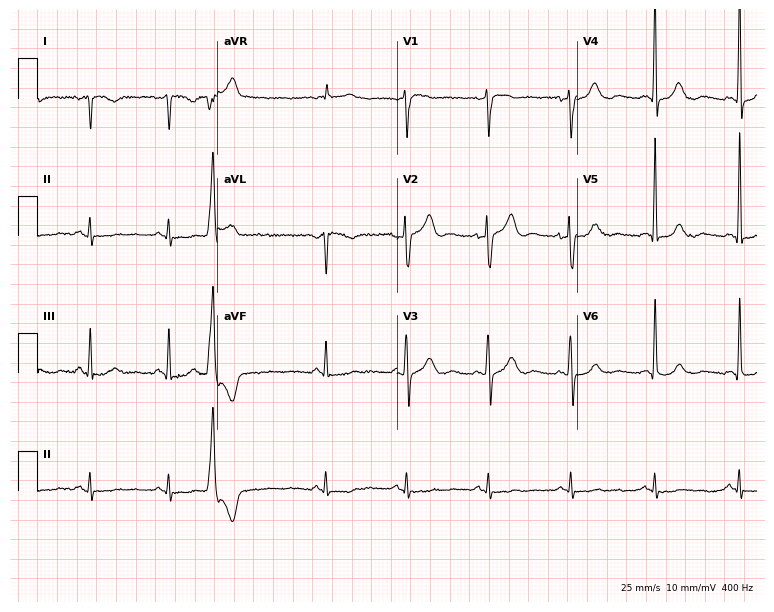
Electrocardiogram, a 77-year-old woman. Of the six screened findings (first-degree AV block, right bundle branch block, left bundle branch block, sinus bradycardia, atrial fibrillation, sinus tachycardia), none is recorded.